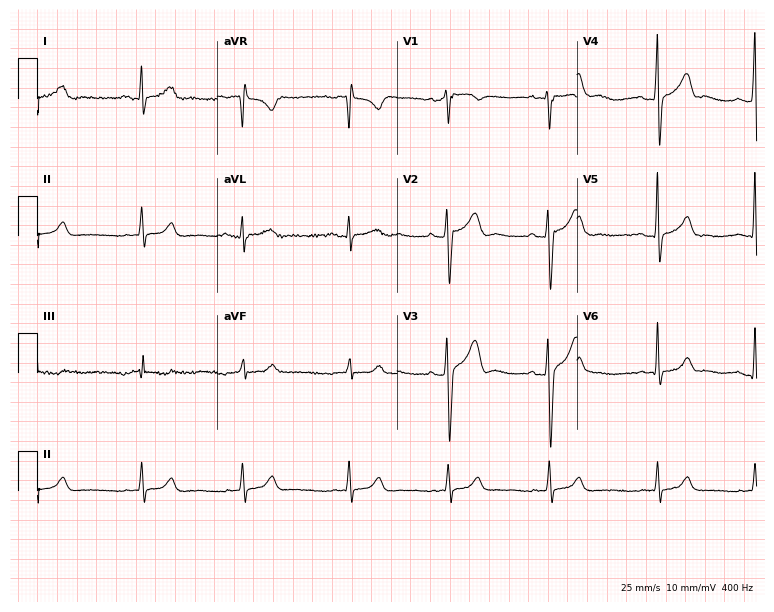
ECG — a male patient, 19 years old. Labelled as a normal ECG.